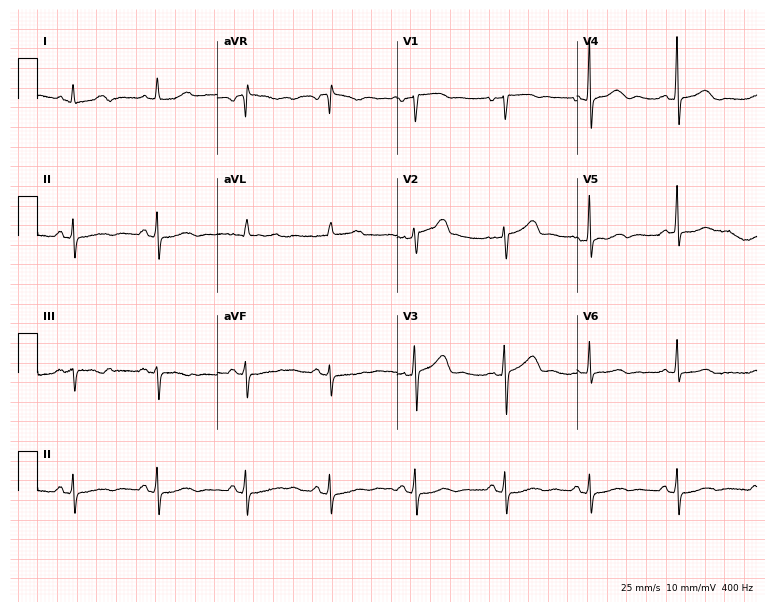
Standard 12-lead ECG recorded from a female patient, 56 years old (7.3-second recording at 400 Hz). Read as a normal ECG.